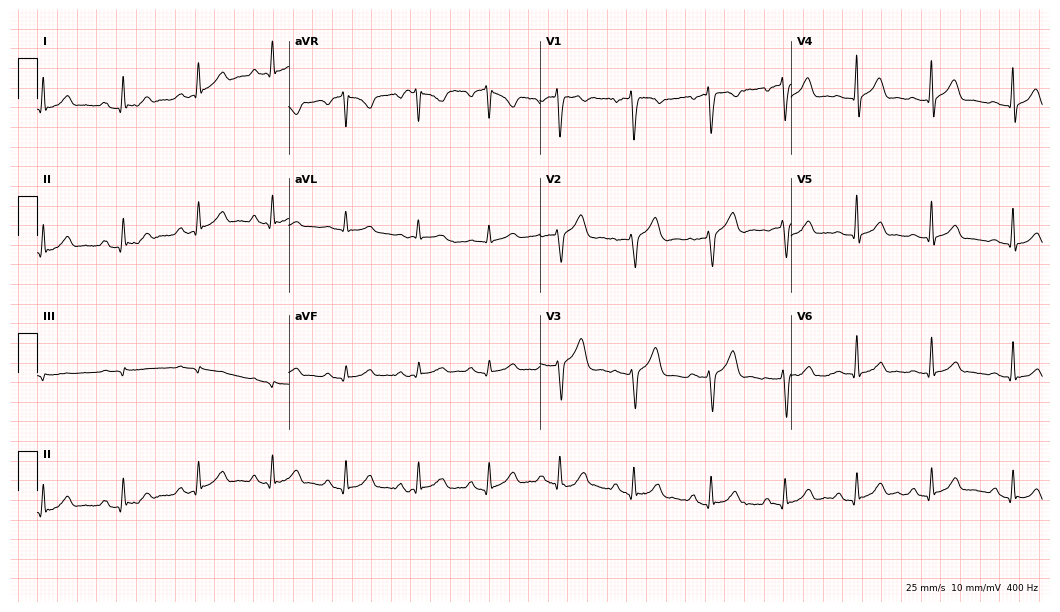
Resting 12-lead electrocardiogram (10.2-second recording at 400 Hz). Patient: a 34-year-old man. Read as a normal ECG.